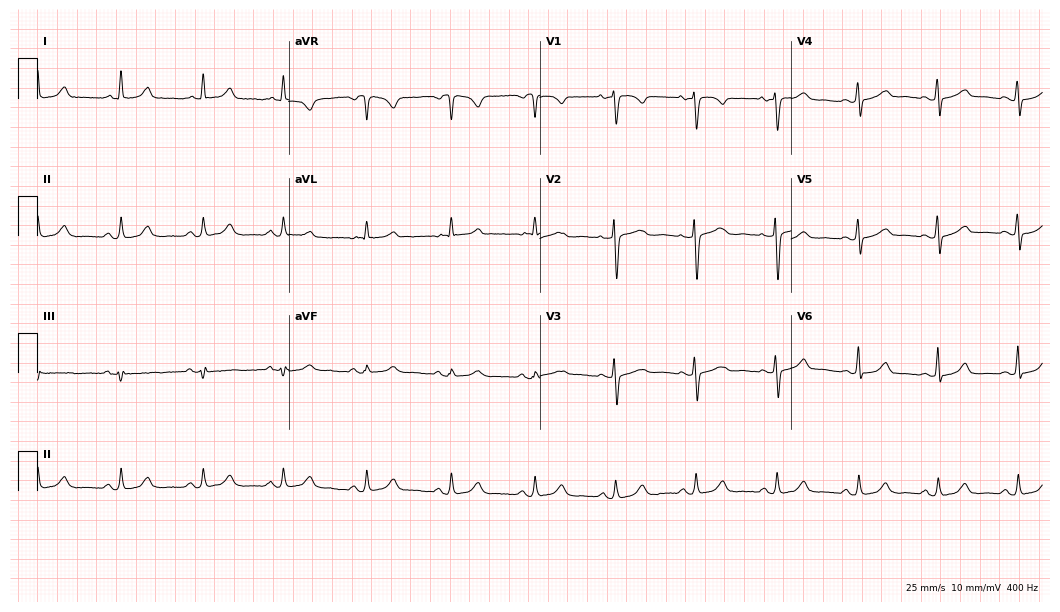
ECG — a female patient, 38 years old. Labelled as a normal ECG.